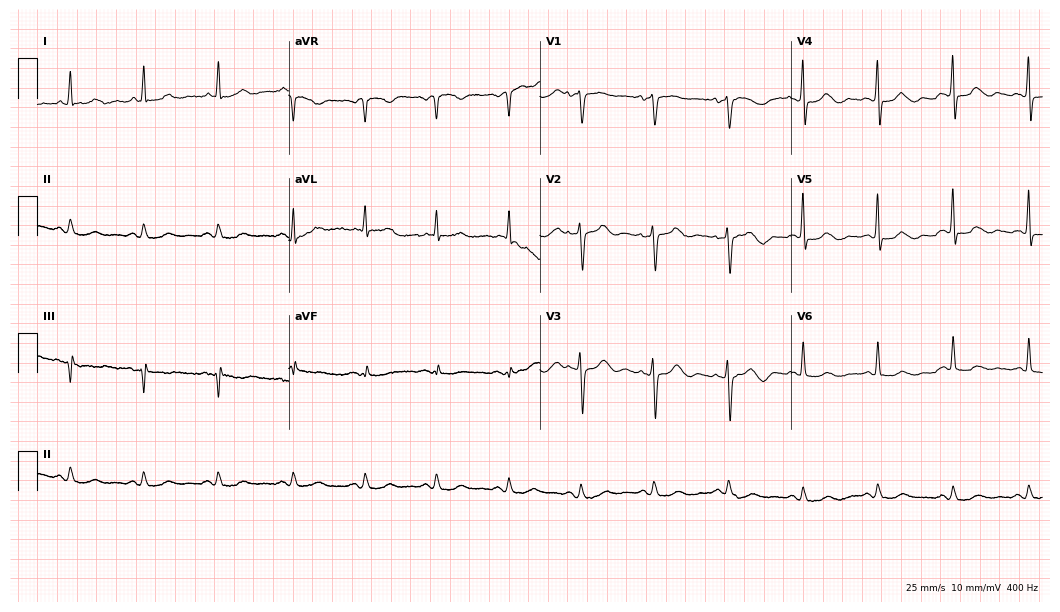
12-lead ECG from a woman, 72 years old. No first-degree AV block, right bundle branch block, left bundle branch block, sinus bradycardia, atrial fibrillation or sinus tachycardia recorded for this tracing.